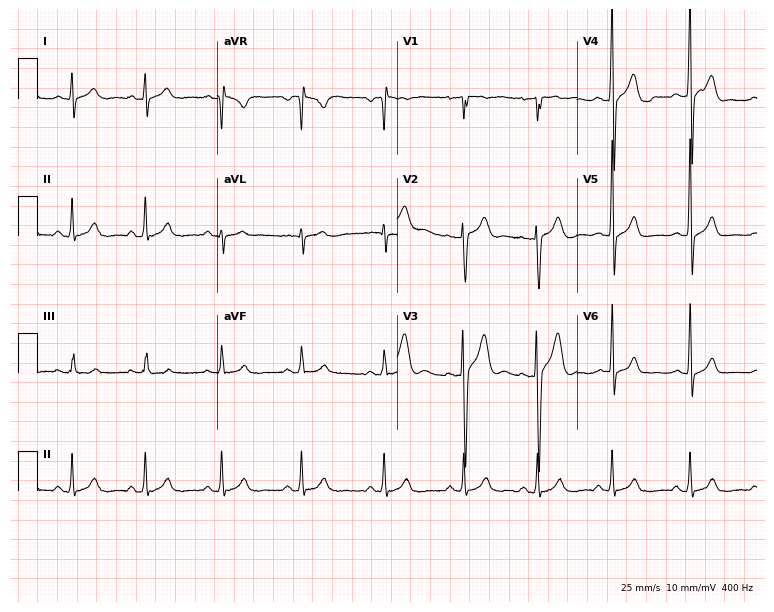
12-lead ECG (7.3-second recording at 400 Hz) from a male, 21 years old. Screened for six findings — first-degree AV block, right bundle branch block, left bundle branch block, sinus bradycardia, atrial fibrillation, sinus tachycardia — none is recorded. Findings outside these six are not listed.